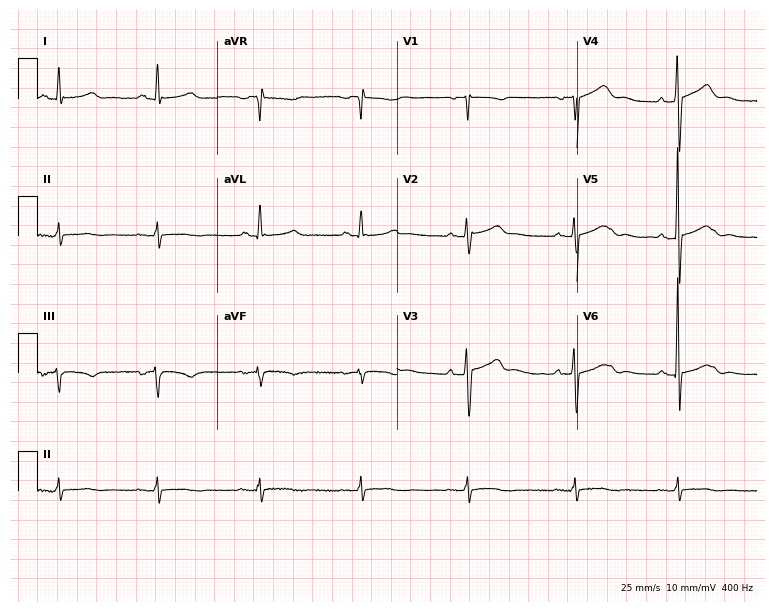
Resting 12-lead electrocardiogram (7.3-second recording at 400 Hz). Patient: a male, 64 years old. Read as a normal ECG.